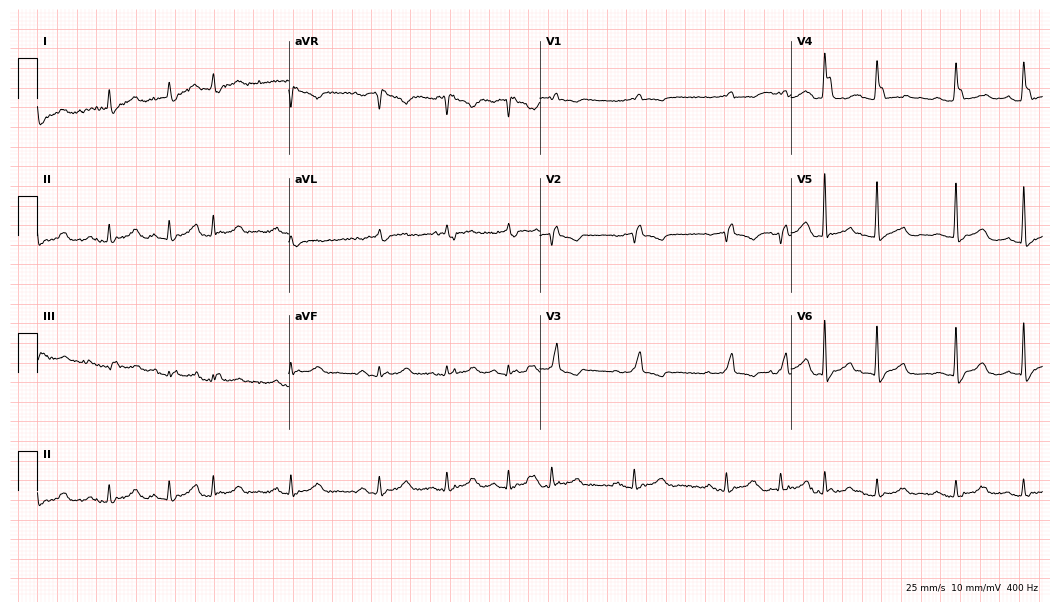
Electrocardiogram, a male, 84 years old. Interpretation includes right bundle branch block (RBBB), atrial fibrillation (AF).